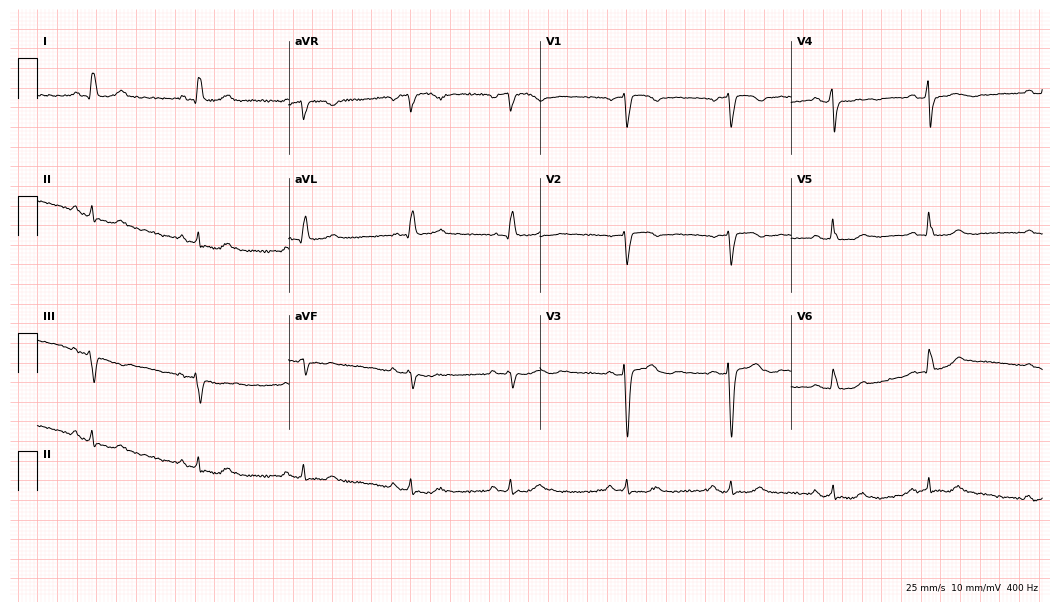
Standard 12-lead ECG recorded from a female patient, 51 years old (10.2-second recording at 400 Hz). None of these six findings is recorded: first-degree AV block, right bundle branch block (RBBB), left bundle branch block (LBBB), sinus bradycardia, atrial fibrillation (AF), sinus tachycardia. Only these six findings were labelled.